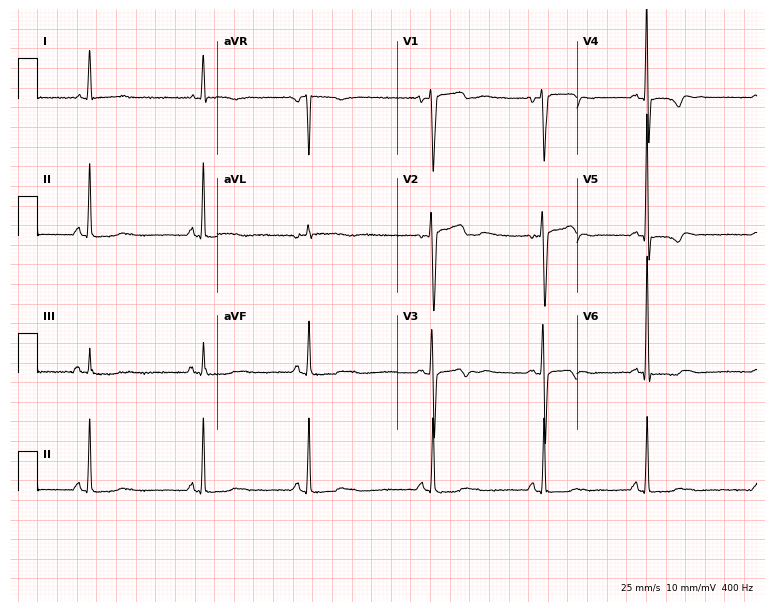
Electrocardiogram, a 35-year-old male patient. Of the six screened findings (first-degree AV block, right bundle branch block, left bundle branch block, sinus bradycardia, atrial fibrillation, sinus tachycardia), none is recorded.